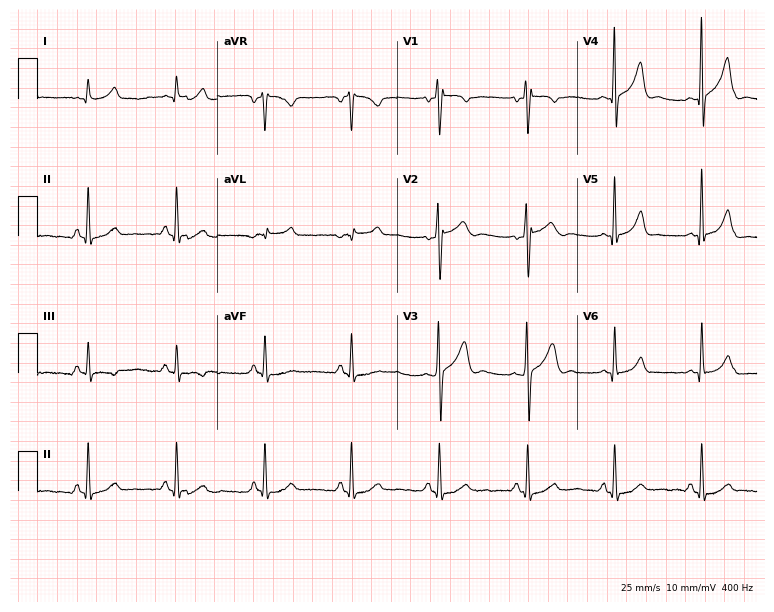
Electrocardiogram (7.3-second recording at 400 Hz), a man, 33 years old. Overall reading on record: normal ECG.